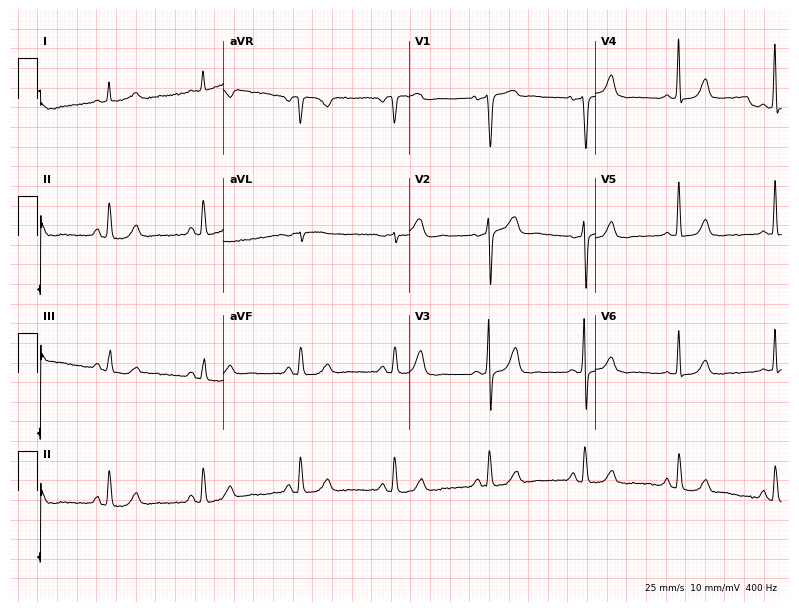
12-lead ECG from a male, 78 years old. Screened for six findings — first-degree AV block, right bundle branch block, left bundle branch block, sinus bradycardia, atrial fibrillation, sinus tachycardia — none is recorded. Only these six findings were labelled.